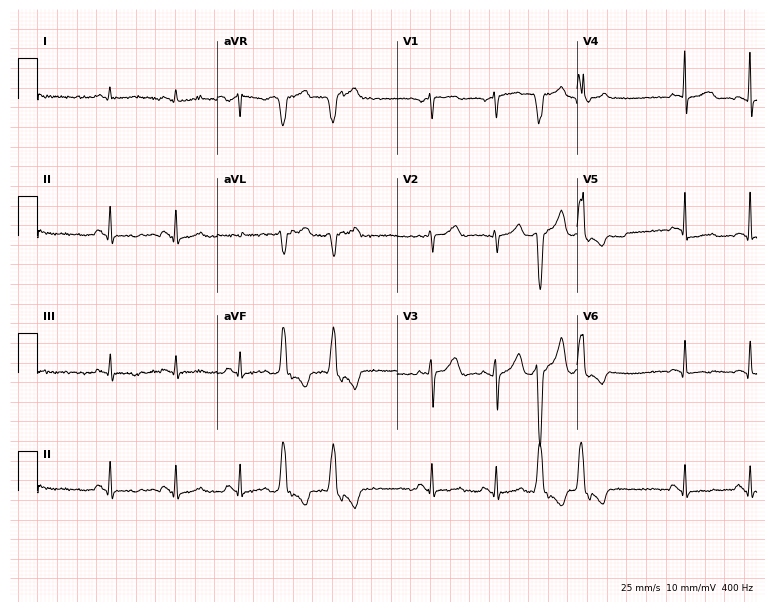
Electrocardiogram (7.3-second recording at 400 Hz), a 79-year-old male. Of the six screened findings (first-degree AV block, right bundle branch block, left bundle branch block, sinus bradycardia, atrial fibrillation, sinus tachycardia), none is recorded. Only these six findings were labelled.